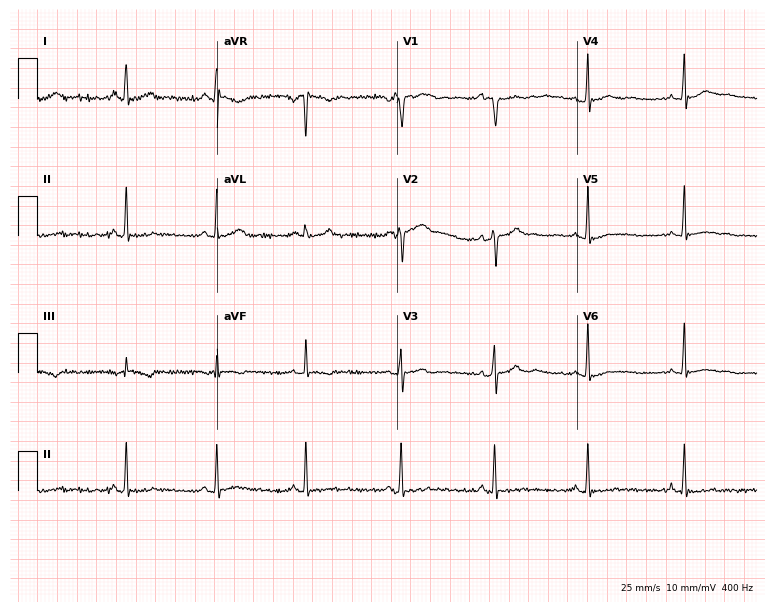
12-lead ECG from a 20-year-old female patient. No first-degree AV block, right bundle branch block (RBBB), left bundle branch block (LBBB), sinus bradycardia, atrial fibrillation (AF) or sinus tachycardia recorded for this tracing. Only these six findings were labelled.